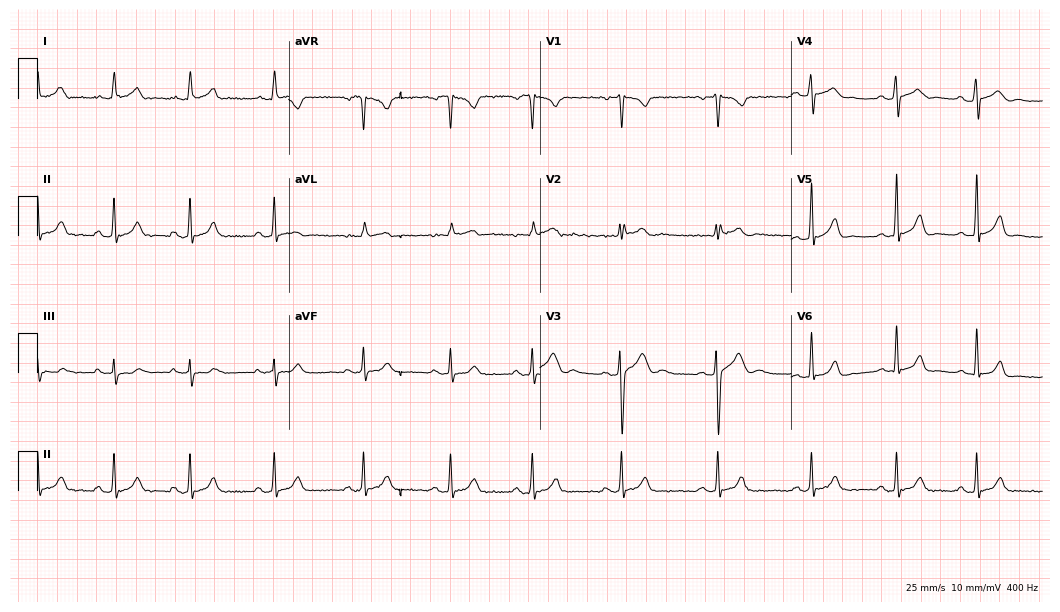
Electrocardiogram, a woman, 17 years old. Overall reading on record: normal ECG.